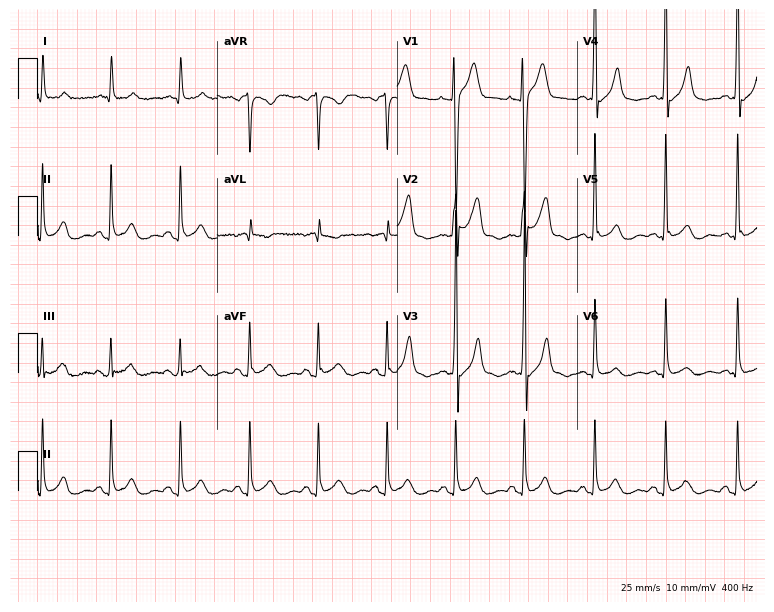
Standard 12-lead ECG recorded from a 45-year-old male. None of these six findings is recorded: first-degree AV block, right bundle branch block, left bundle branch block, sinus bradycardia, atrial fibrillation, sinus tachycardia.